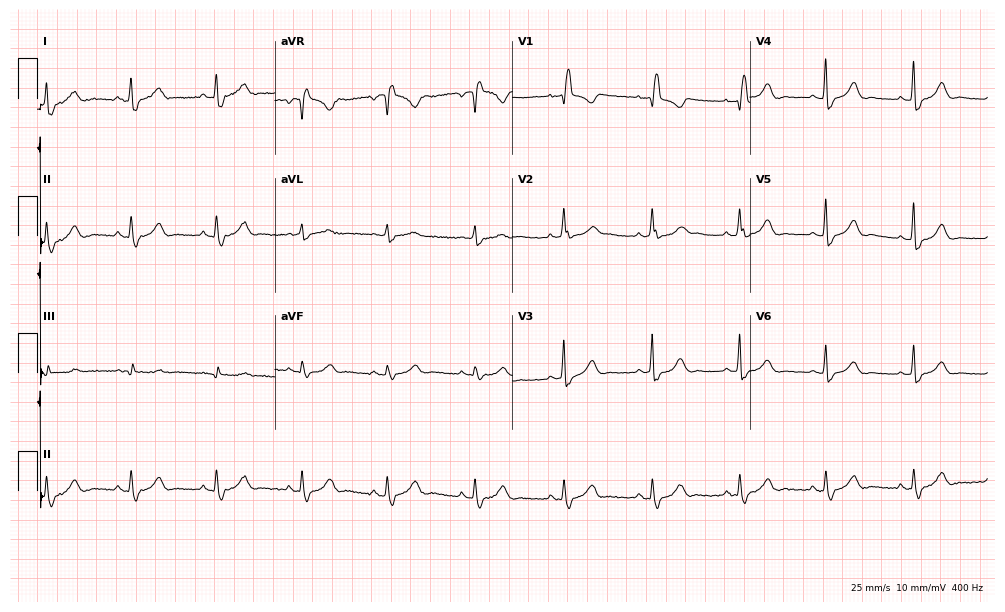
Electrocardiogram, a 72-year-old female patient. Of the six screened findings (first-degree AV block, right bundle branch block, left bundle branch block, sinus bradycardia, atrial fibrillation, sinus tachycardia), none is recorded. Other findings, if any, are not listed.